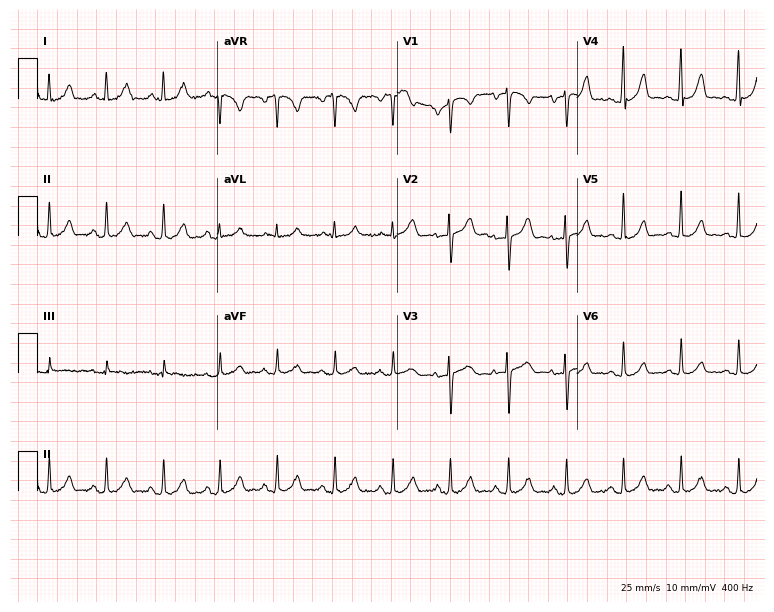
12-lead ECG from a woman, 44 years old (7.3-second recording at 400 Hz). Shows sinus tachycardia (a sinus rate of 100 beats per minute or more).